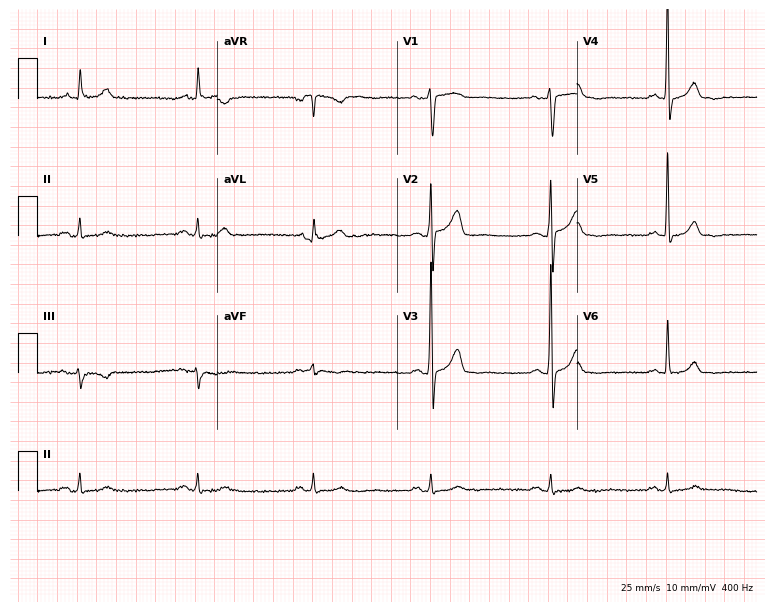
12-lead ECG from a 75-year-old man (7.3-second recording at 400 Hz). Recorded interpretation: within normal limits.